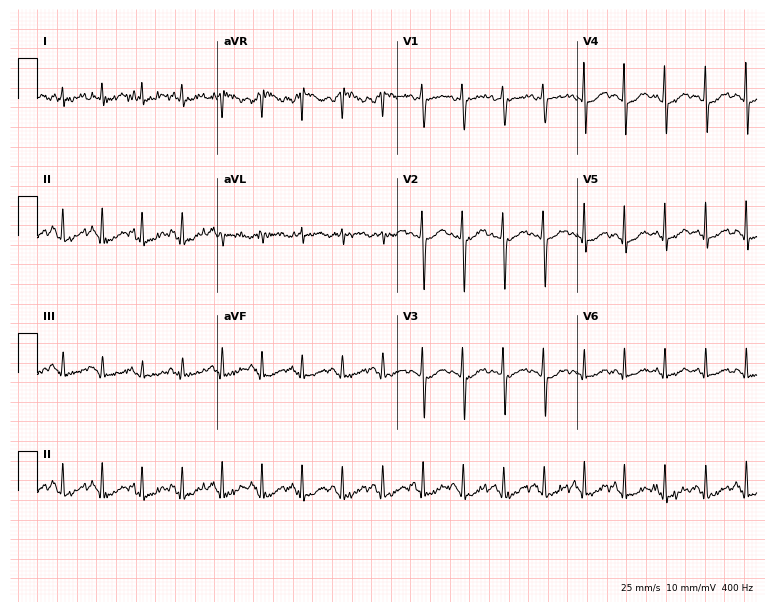
Electrocardiogram (7.3-second recording at 400 Hz), a 41-year-old woman. Interpretation includes sinus tachycardia (a sinus rate of 100 beats per minute or more).